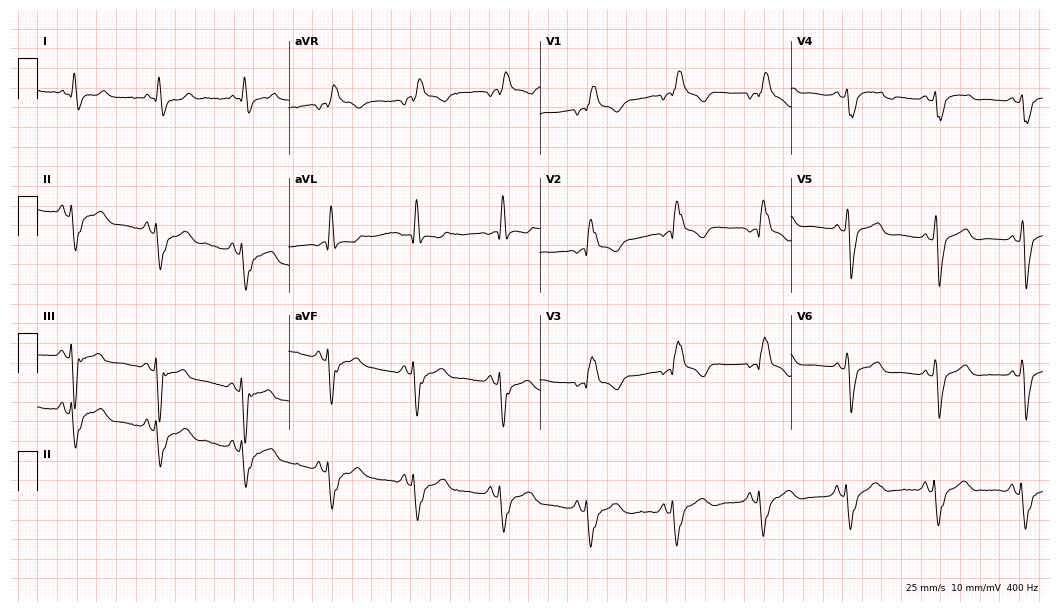
12-lead ECG from a 75-year-old male patient (10.2-second recording at 400 Hz). Shows right bundle branch block.